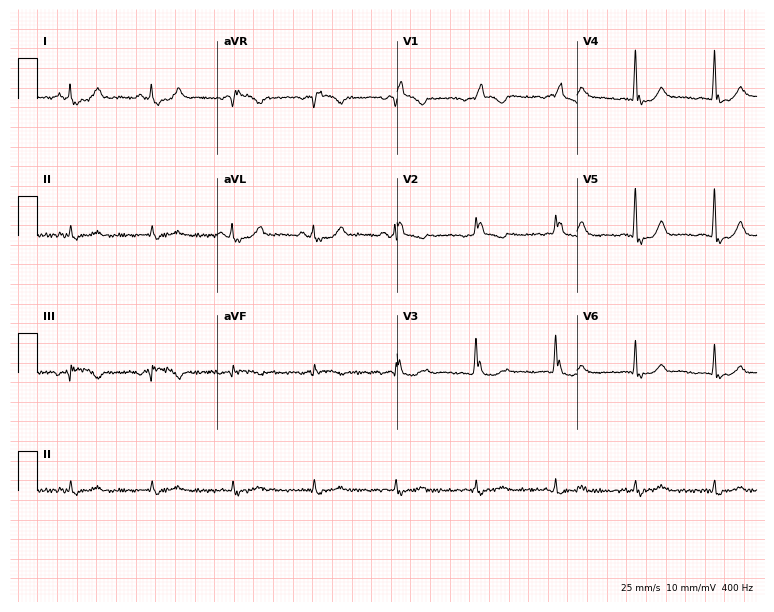
12-lead ECG (7.3-second recording at 400 Hz) from a male patient, 82 years old. Screened for six findings — first-degree AV block, right bundle branch block, left bundle branch block, sinus bradycardia, atrial fibrillation, sinus tachycardia — none is recorded.